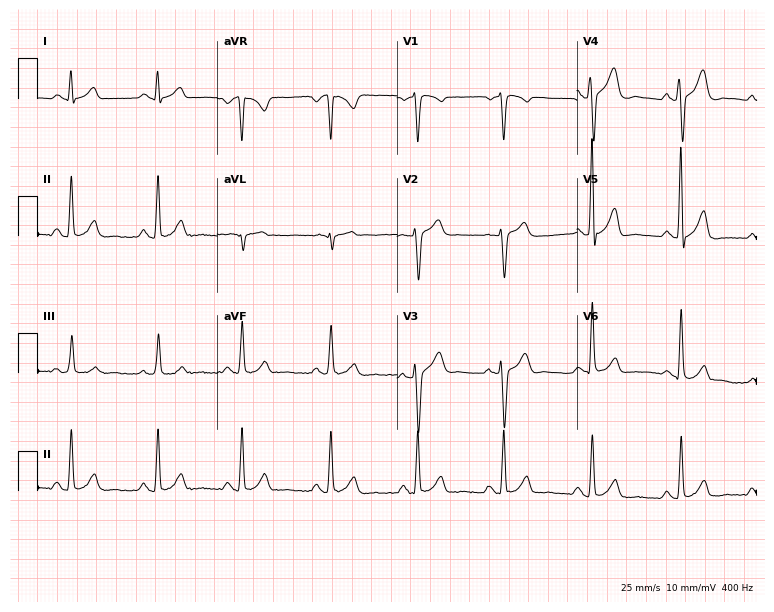
ECG — a male patient, 42 years old. Screened for six findings — first-degree AV block, right bundle branch block, left bundle branch block, sinus bradycardia, atrial fibrillation, sinus tachycardia — none is recorded.